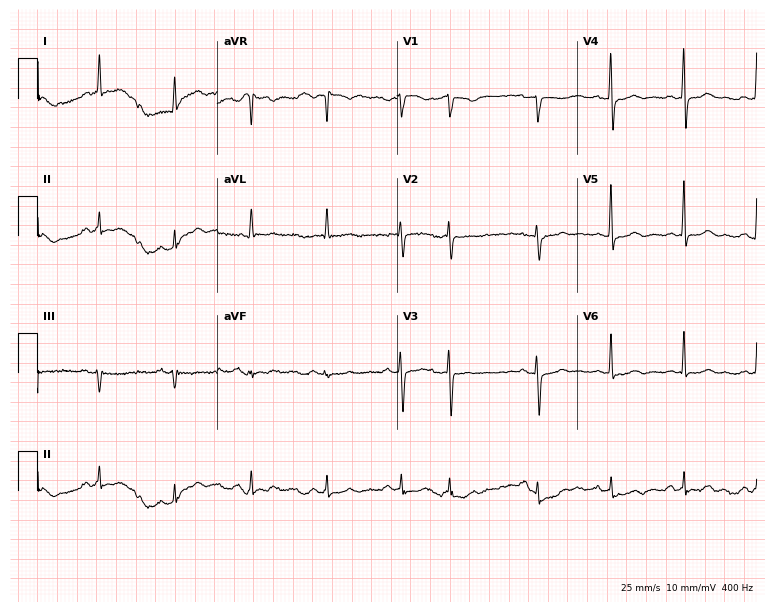
12-lead ECG (7.3-second recording at 400 Hz) from a 64-year-old female patient. Screened for six findings — first-degree AV block, right bundle branch block, left bundle branch block, sinus bradycardia, atrial fibrillation, sinus tachycardia — none is recorded.